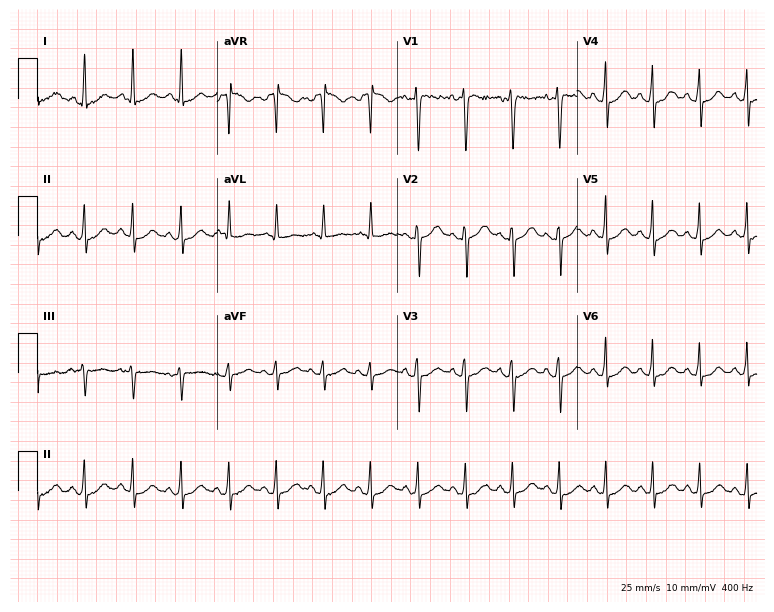
Resting 12-lead electrocardiogram. Patient: a female, 36 years old. None of these six findings is recorded: first-degree AV block, right bundle branch block, left bundle branch block, sinus bradycardia, atrial fibrillation, sinus tachycardia.